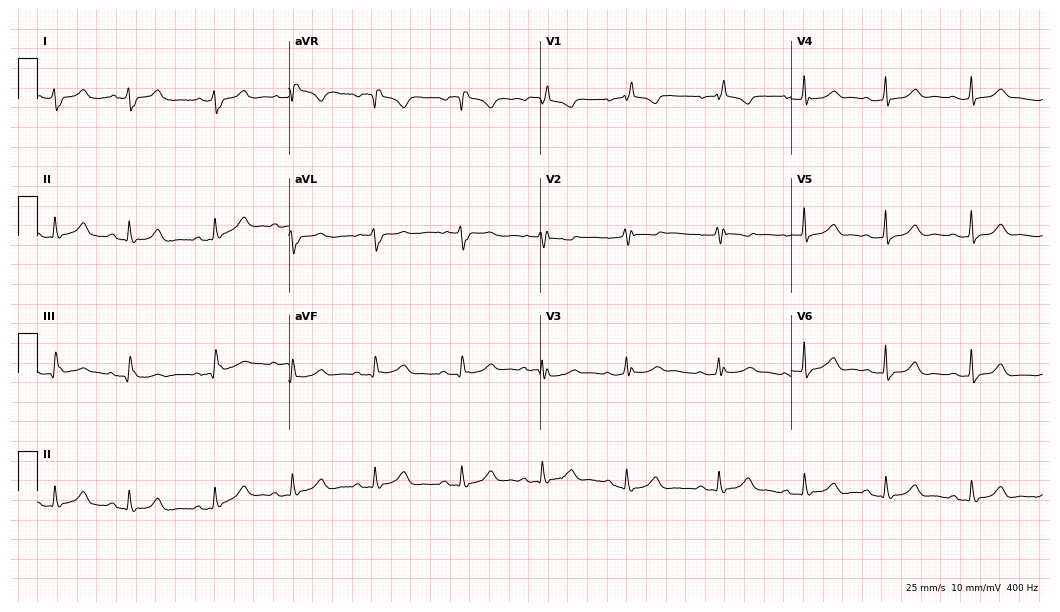
Electrocardiogram (10.2-second recording at 400 Hz), a 73-year-old woman. Of the six screened findings (first-degree AV block, right bundle branch block, left bundle branch block, sinus bradycardia, atrial fibrillation, sinus tachycardia), none is recorded.